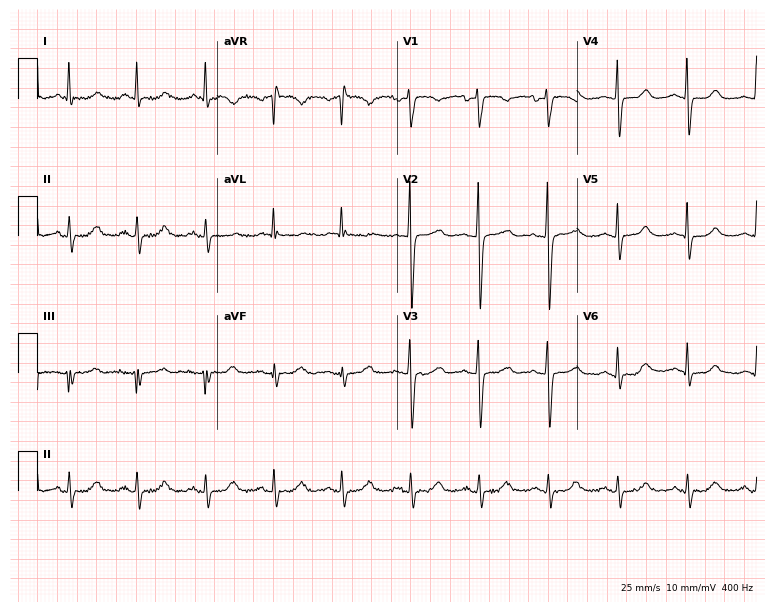
12-lead ECG from a 56-year-old female (7.3-second recording at 400 Hz). No first-degree AV block, right bundle branch block, left bundle branch block, sinus bradycardia, atrial fibrillation or sinus tachycardia recorded for this tracing. Only these six findings were labelled.